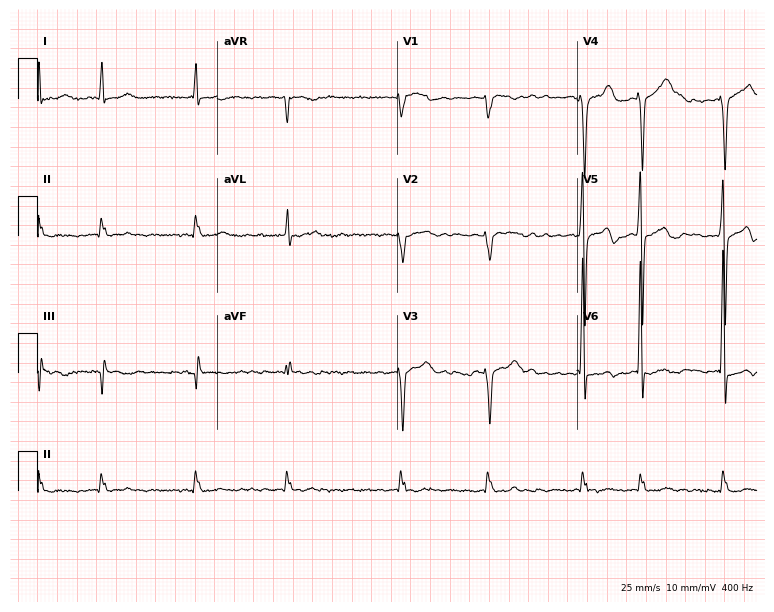
12-lead ECG from a female, 72 years old (7.3-second recording at 400 Hz). Shows atrial fibrillation.